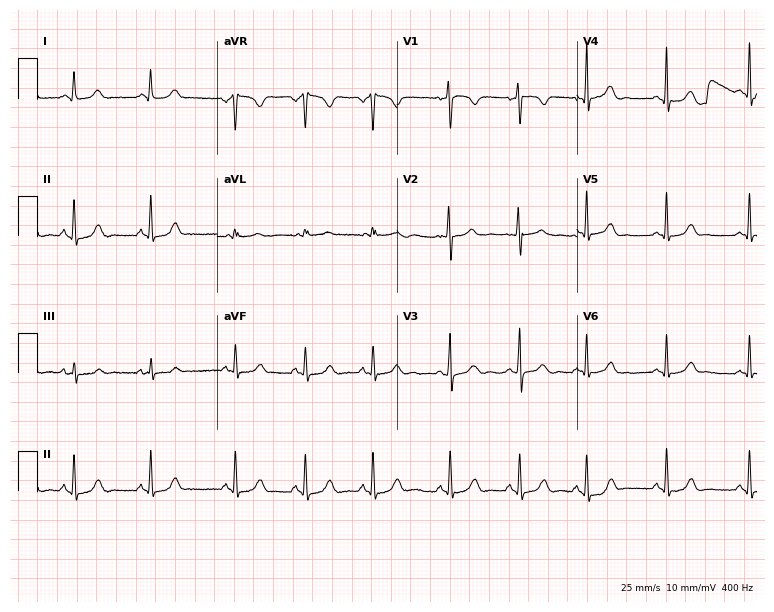
Standard 12-lead ECG recorded from a female, 19 years old. Read as a normal ECG.